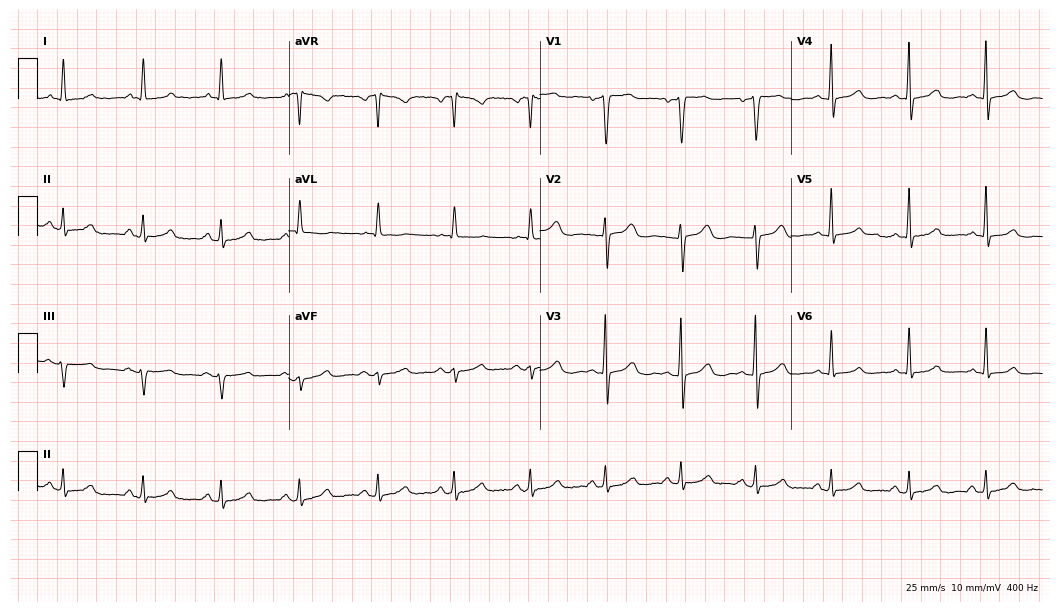
12-lead ECG from a 50-year-old woman. Labelled as a normal ECG.